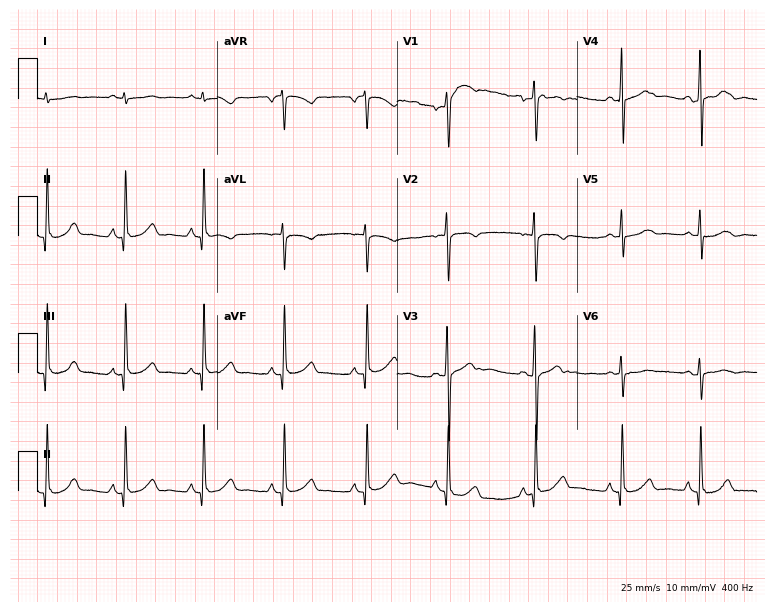
Electrocardiogram, a 29-year-old female. Overall reading on record: normal ECG.